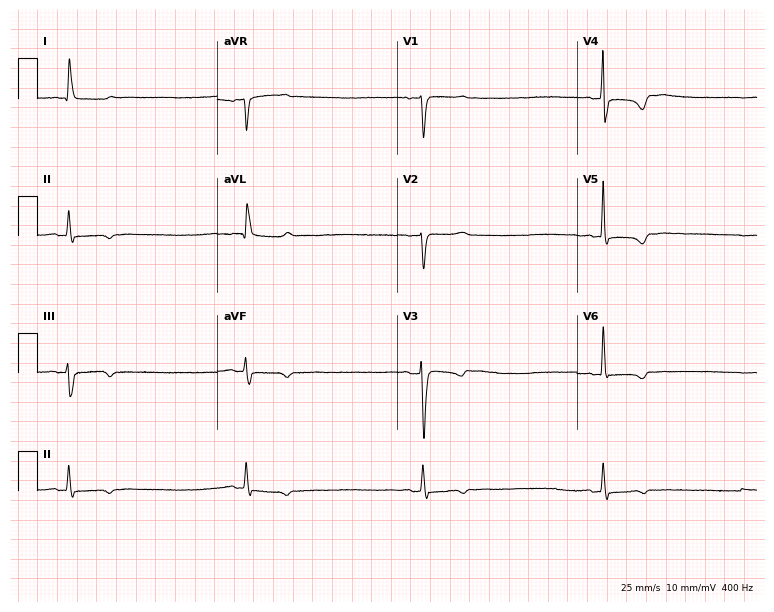
Electrocardiogram (7.3-second recording at 400 Hz), a female patient, 73 years old. Interpretation includes sinus bradycardia (a sinus rate of 50 beats per minute or less).